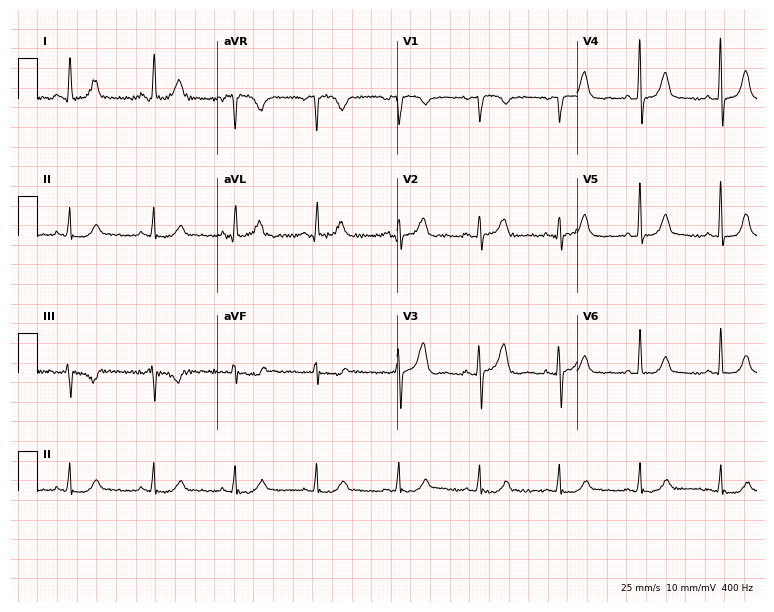
12-lead ECG from a 71-year-old male patient (7.3-second recording at 400 Hz). Recorded interpretation: within normal limits.